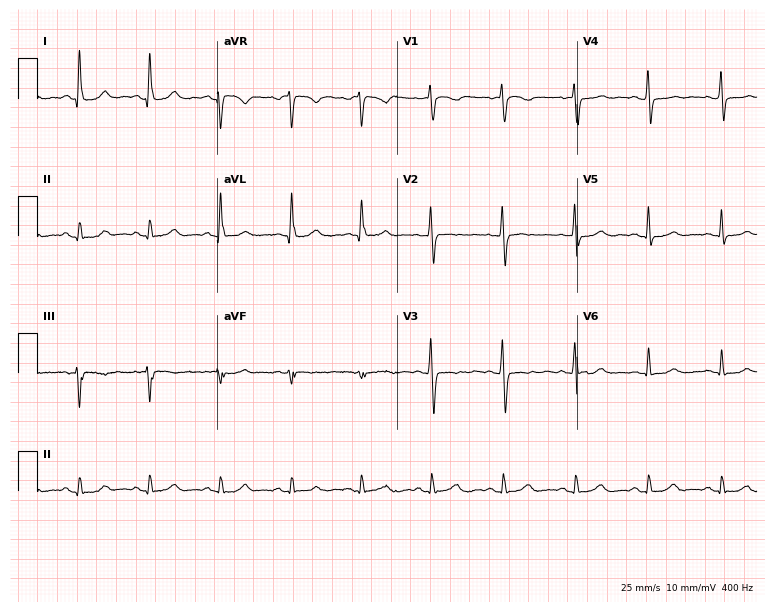
Electrocardiogram, a 34-year-old woman. Of the six screened findings (first-degree AV block, right bundle branch block, left bundle branch block, sinus bradycardia, atrial fibrillation, sinus tachycardia), none is recorded. Only these six findings were labelled.